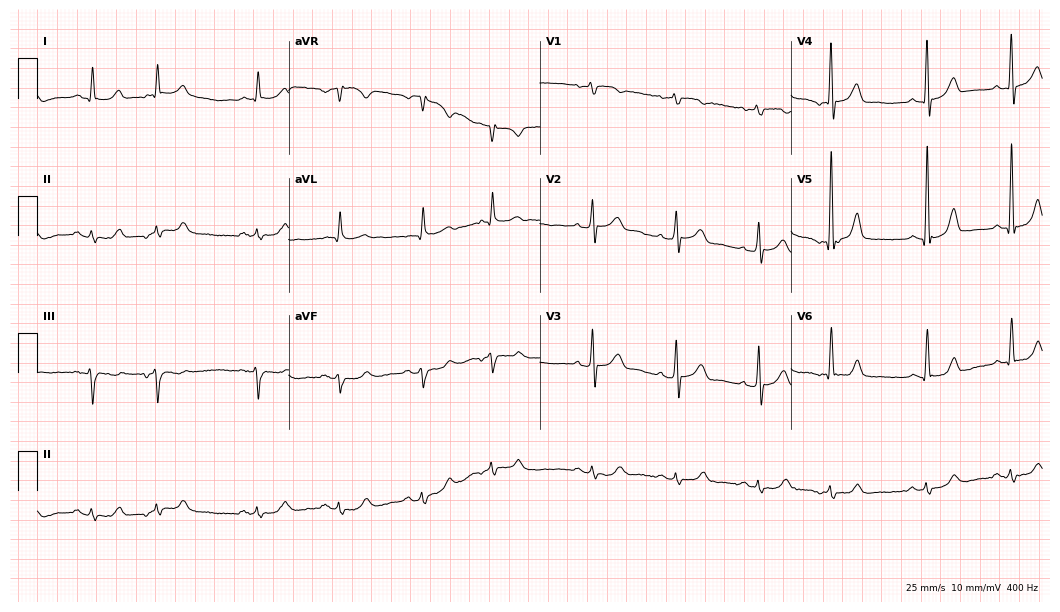
Standard 12-lead ECG recorded from a male patient, 80 years old (10.2-second recording at 400 Hz). None of these six findings is recorded: first-degree AV block, right bundle branch block, left bundle branch block, sinus bradycardia, atrial fibrillation, sinus tachycardia.